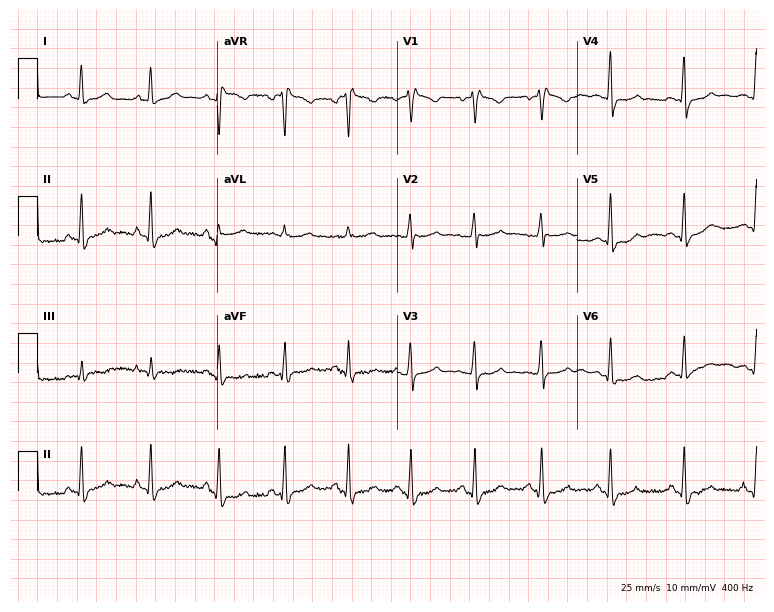
Resting 12-lead electrocardiogram. Patient: a woman, 37 years old. None of these six findings is recorded: first-degree AV block, right bundle branch block (RBBB), left bundle branch block (LBBB), sinus bradycardia, atrial fibrillation (AF), sinus tachycardia.